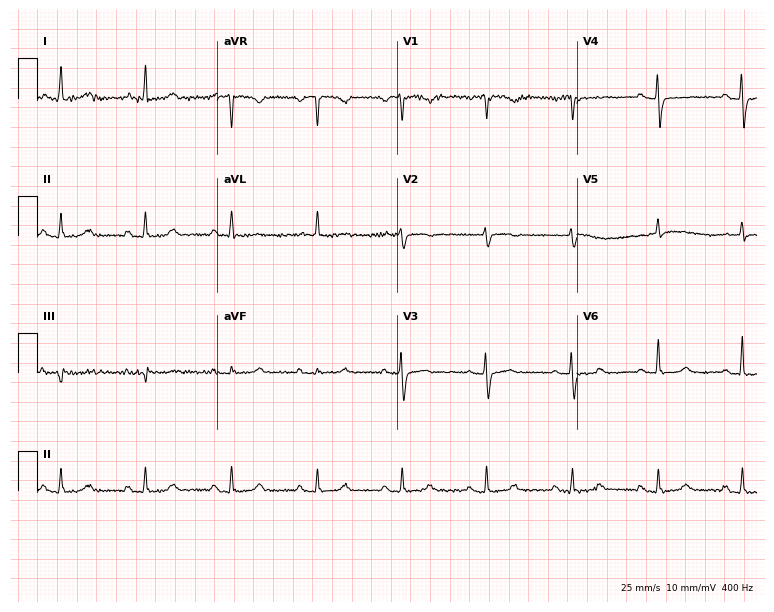
ECG — an 83-year-old female. Screened for six findings — first-degree AV block, right bundle branch block, left bundle branch block, sinus bradycardia, atrial fibrillation, sinus tachycardia — none is recorded. Findings outside these six are not listed.